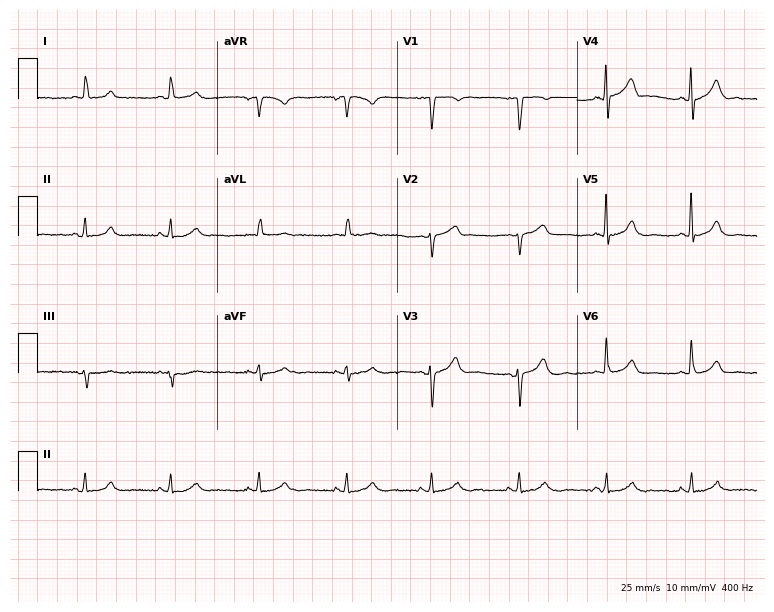
ECG (7.3-second recording at 400 Hz) — a male, 79 years old. Labelled as a normal ECG.